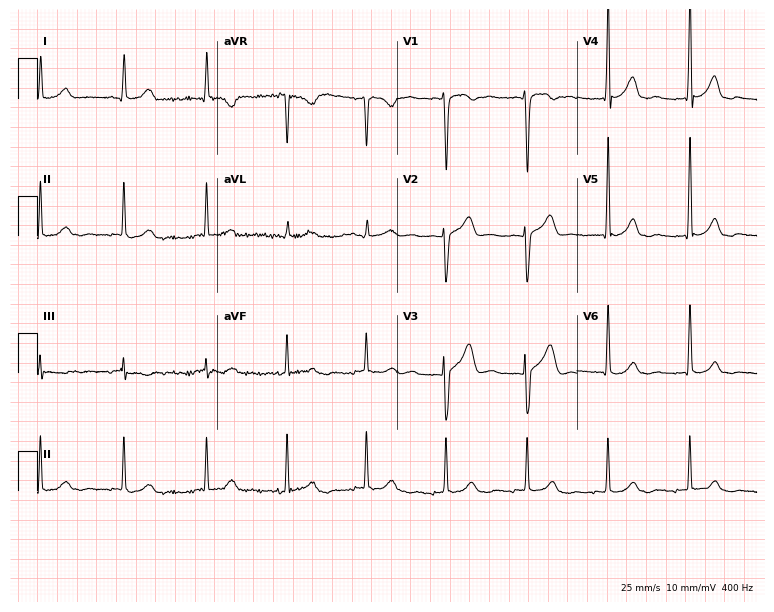
Standard 12-lead ECG recorded from a man, 32 years old. None of these six findings is recorded: first-degree AV block, right bundle branch block, left bundle branch block, sinus bradycardia, atrial fibrillation, sinus tachycardia.